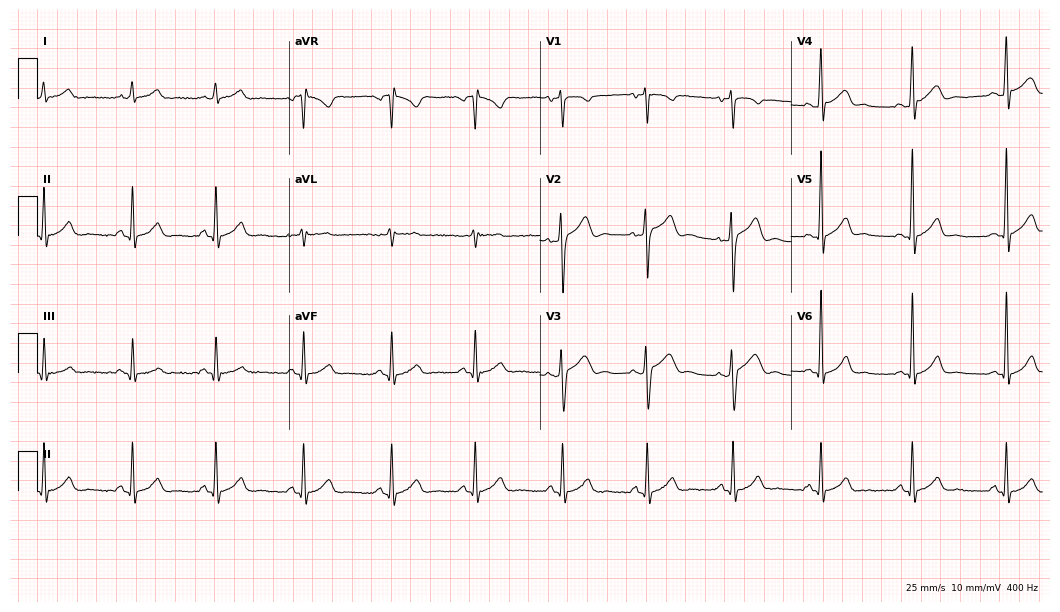
Standard 12-lead ECG recorded from a 28-year-old male patient. None of these six findings is recorded: first-degree AV block, right bundle branch block, left bundle branch block, sinus bradycardia, atrial fibrillation, sinus tachycardia. Findings outside these six are not listed.